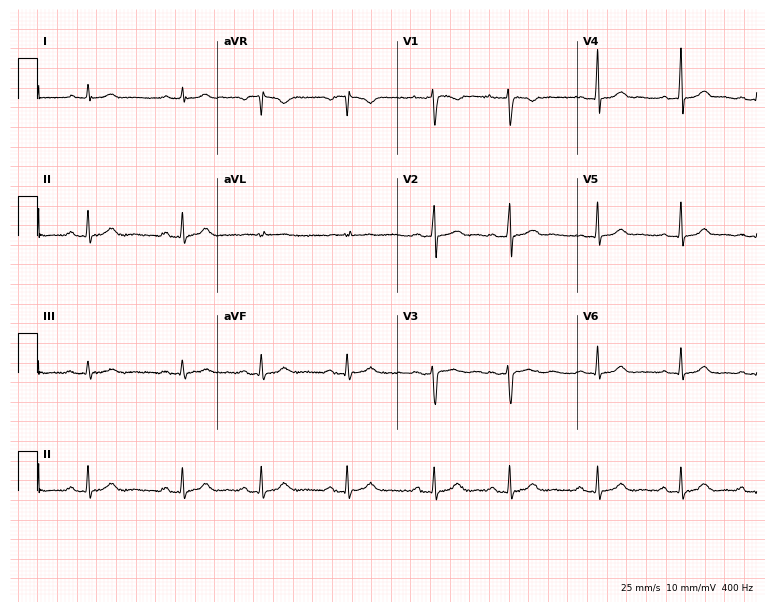
Standard 12-lead ECG recorded from a 17-year-old female patient (7.3-second recording at 400 Hz). None of these six findings is recorded: first-degree AV block, right bundle branch block, left bundle branch block, sinus bradycardia, atrial fibrillation, sinus tachycardia.